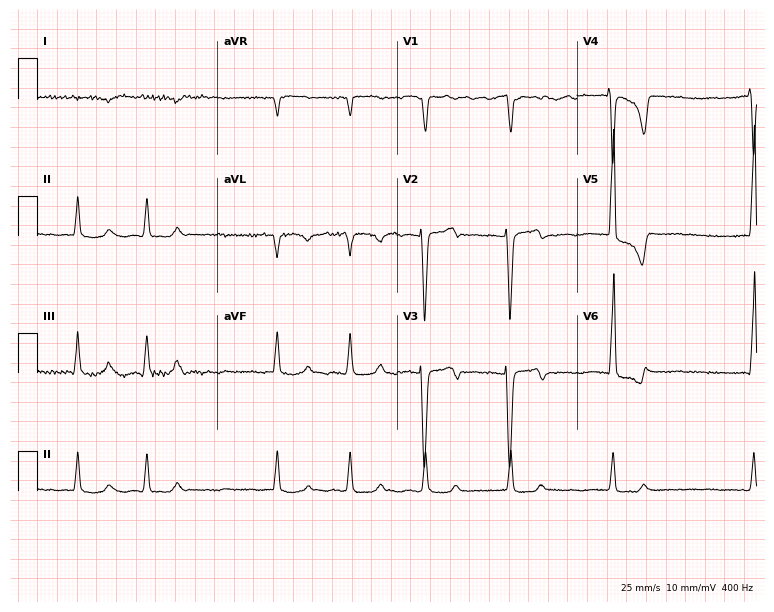
12-lead ECG (7.3-second recording at 400 Hz) from a female patient, 73 years old. Screened for six findings — first-degree AV block, right bundle branch block (RBBB), left bundle branch block (LBBB), sinus bradycardia, atrial fibrillation (AF), sinus tachycardia — none is recorded. Findings outside these six are not listed.